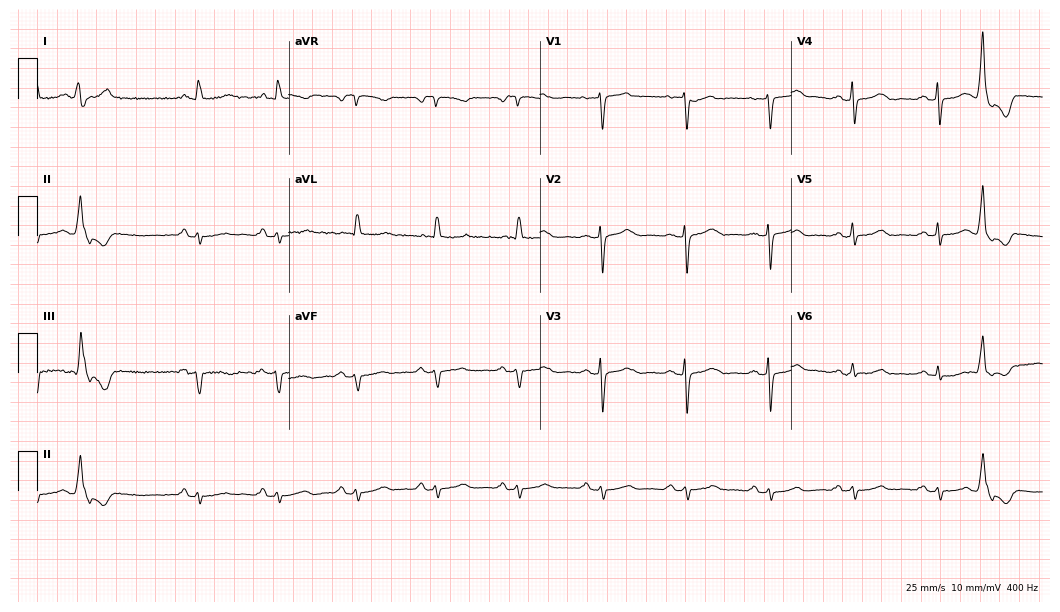
12-lead ECG from a female, 70 years old. Screened for six findings — first-degree AV block, right bundle branch block (RBBB), left bundle branch block (LBBB), sinus bradycardia, atrial fibrillation (AF), sinus tachycardia — none is recorded. Only these six findings were labelled.